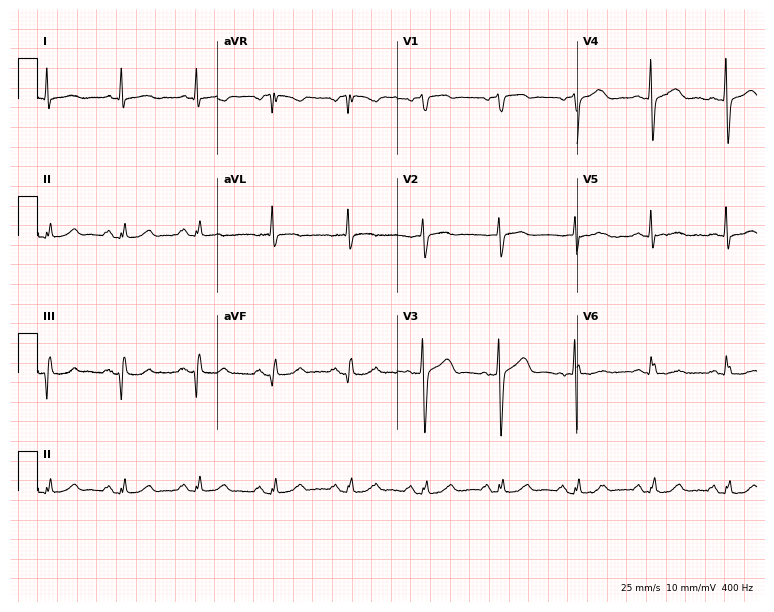
12-lead ECG from a woman, 73 years old. Screened for six findings — first-degree AV block, right bundle branch block, left bundle branch block, sinus bradycardia, atrial fibrillation, sinus tachycardia — none is recorded.